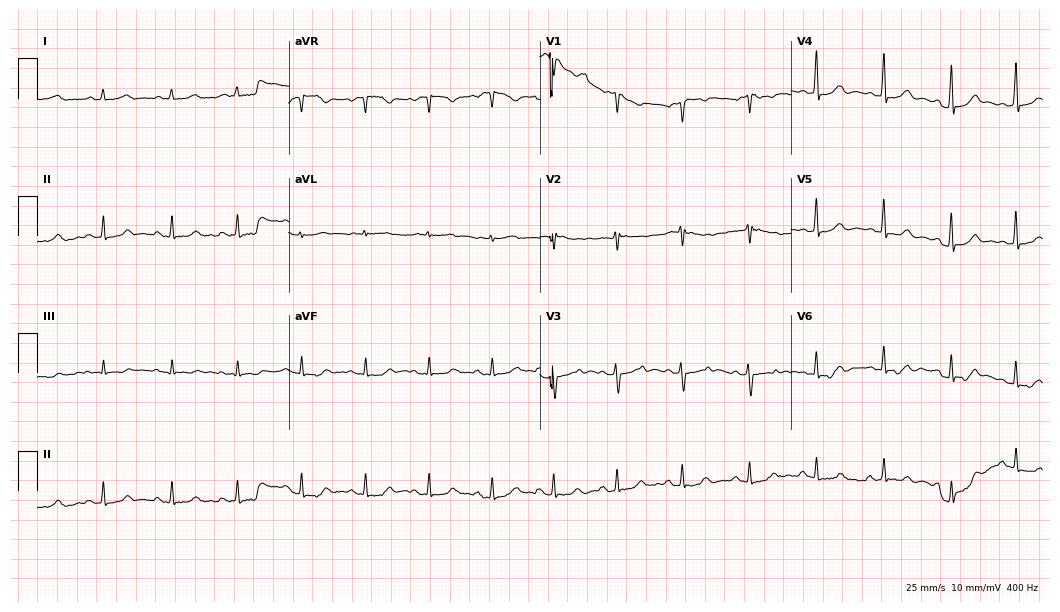
12-lead ECG from a female, 46 years old. Screened for six findings — first-degree AV block, right bundle branch block, left bundle branch block, sinus bradycardia, atrial fibrillation, sinus tachycardia — none is recorded. Findings outside these six are not listed.